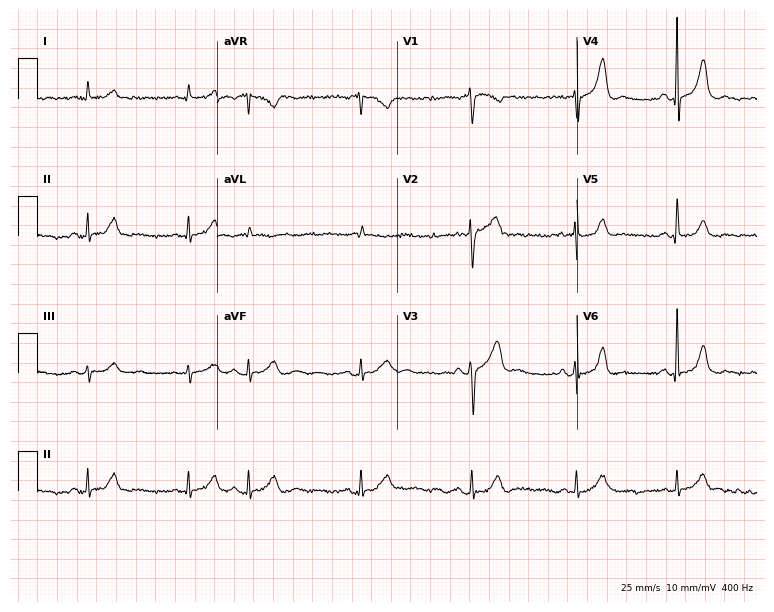
12-lead ECG from a 77-year-old male (7.3-second recording at 400 Hz). Recorded interpretation: within normal limits.